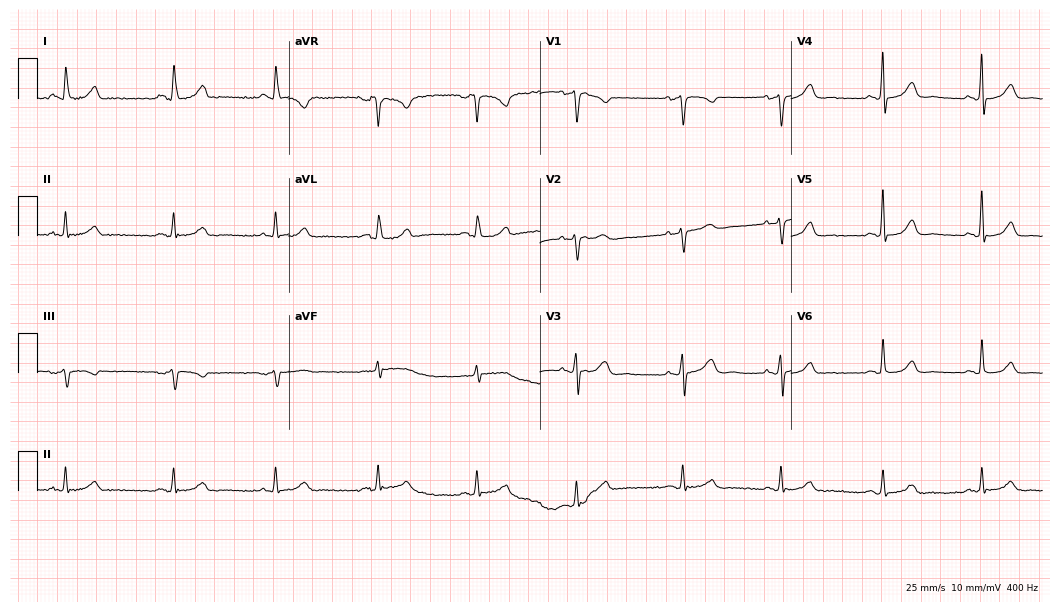
Resting 12-lead electrocardiogram. Patient: a woman, 40 years old. Read as a normal ECG.